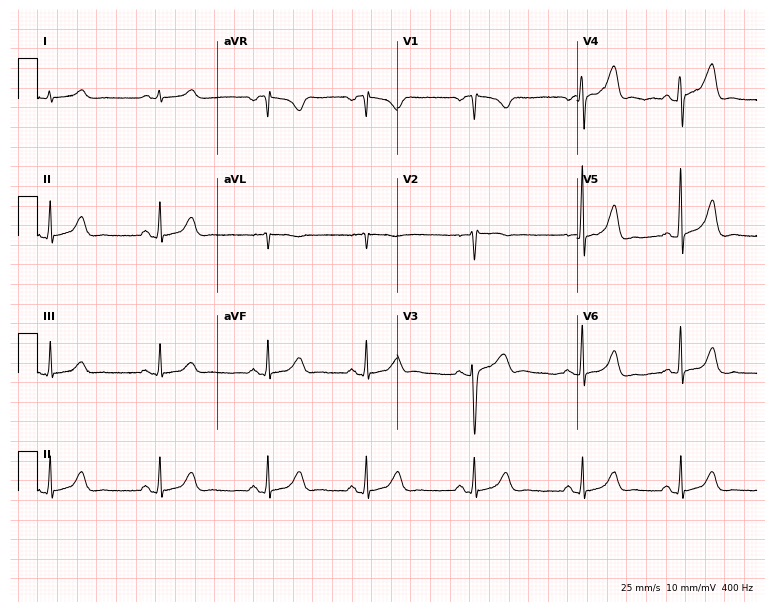
12-lead ECG from a female, 44 years old. Recorded interpretation: within normal limits.